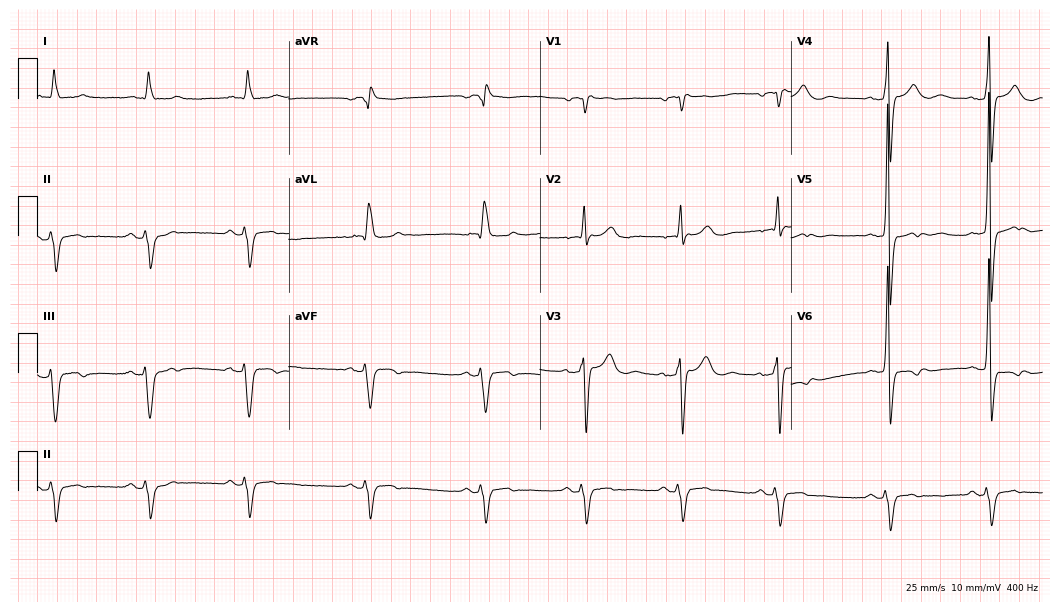
ECG — a man, 84 years old. Findings include left bundle branch block (LBBB).